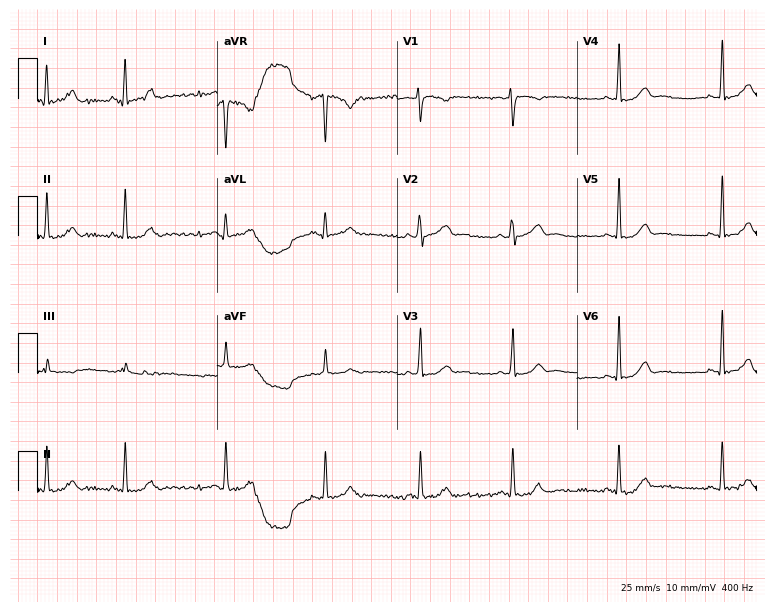
Electrocardiogram (7.3-second recording at 400 Hz), a 24-year-old woman. Of the six screened findings (first-degree AV block, right bundle branch block, left bundle branch block, sinus bradycardia, atrial fibrillation, sinus tachycardia), none is recorded. Other findings, if any, are not listed.